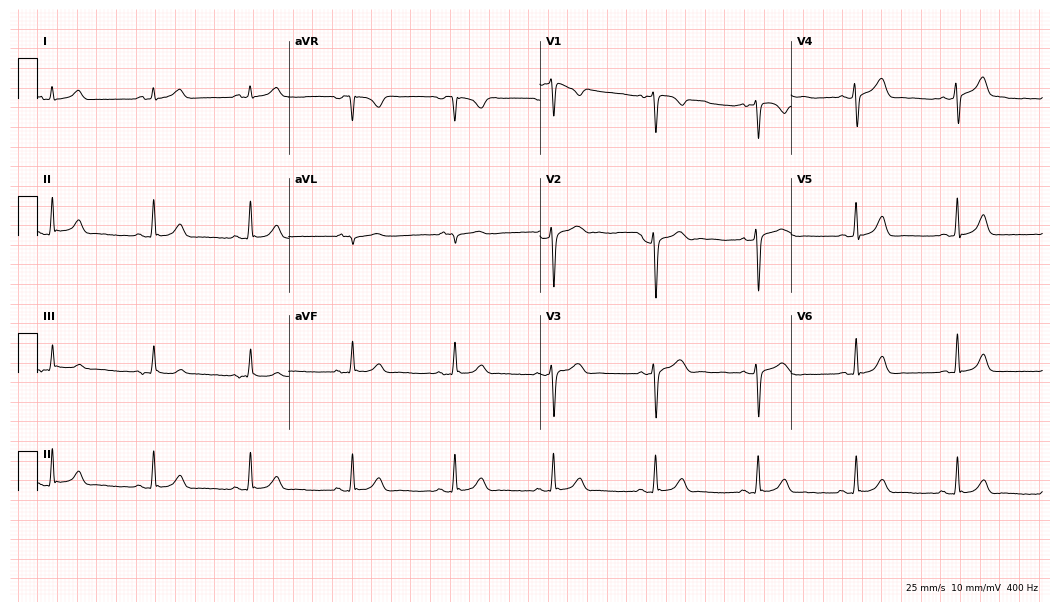
Electrocardiogram, a 32-year-old male patient. Overall reading on record: normal ECG.